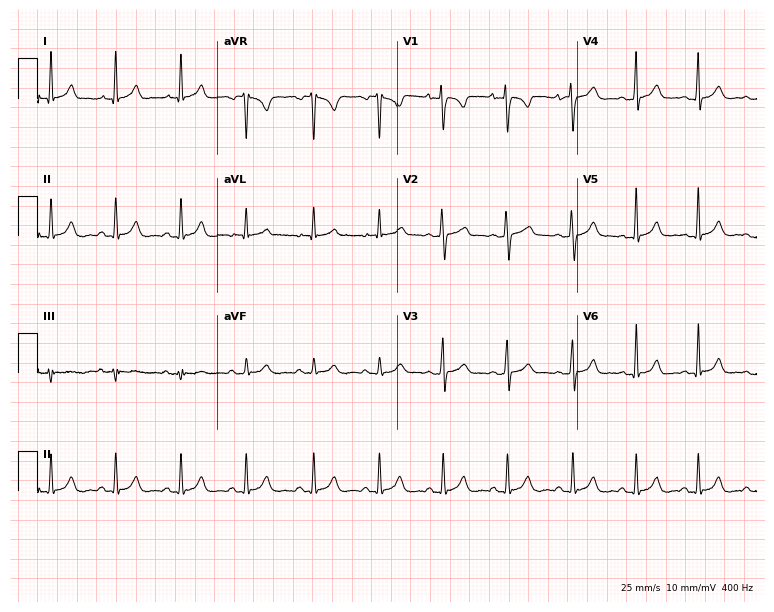
Resting 12-lead electrocardiogram (7.3-second recording at 400 Hz). Patient: a 25-year-old woman. None of these six findings is recorded: first-degree AV block, right bundle branch block, left bundle branch block, sinus bradycardia, atrial fibrillation, sinus tachycardia. Only these six findings were labelled.